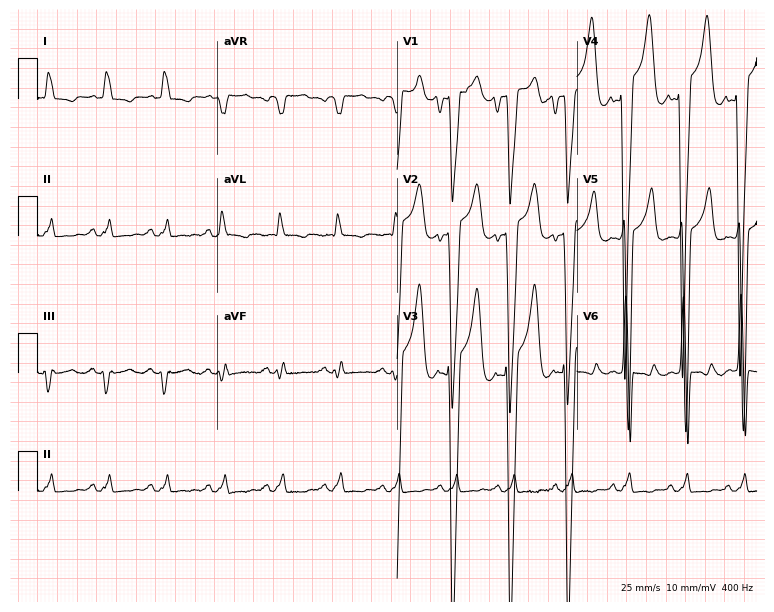
ECG (7.3-second recording at 400 Hz) — a 55-year-old male. Findings include left bundle branch block (LBBB).